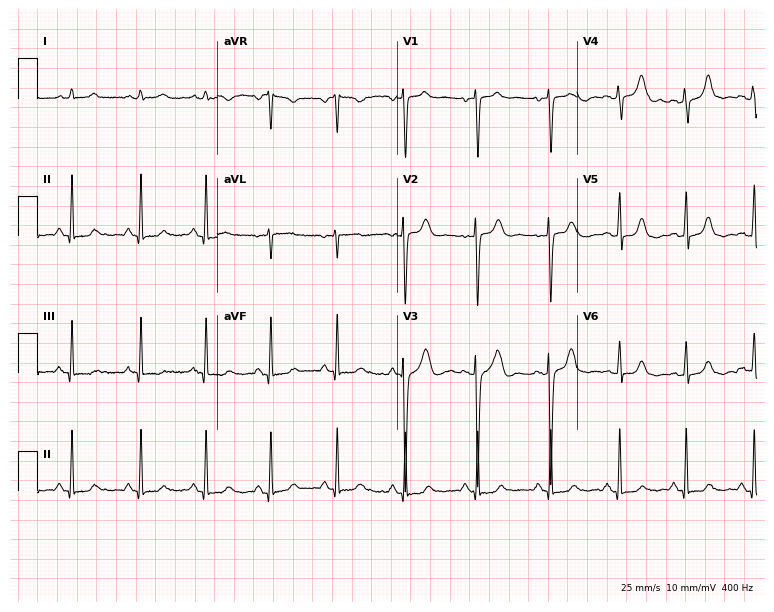
ECG (7.3-second recording at 400 Hz) — a 41-year-old female. Labelled as a normal ECG.